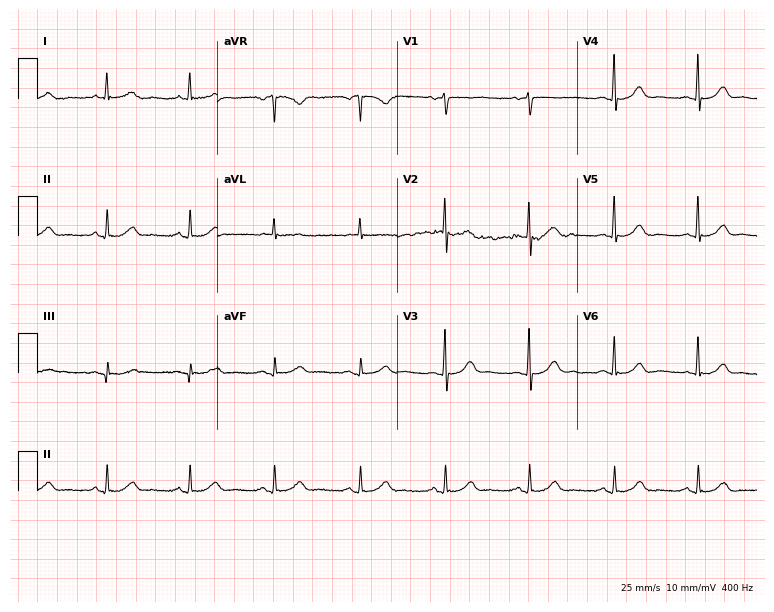
Standard 12-lead ECG recorded from a 66-year-old woman. Read as a normal ECG.